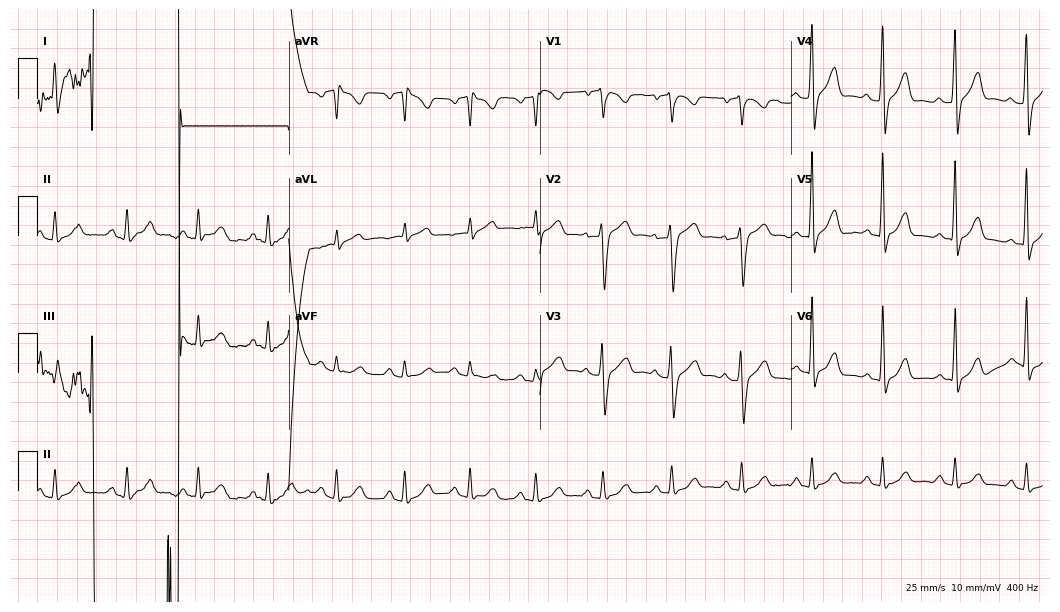
Electrocardiogram, a 55-year-old male. Of the six screened findings (first-degree AV block, right bundle branch block, left bundle branch block, sinus bradycardia, atrial fibrillation, sinus tachycardia), none is recorded.